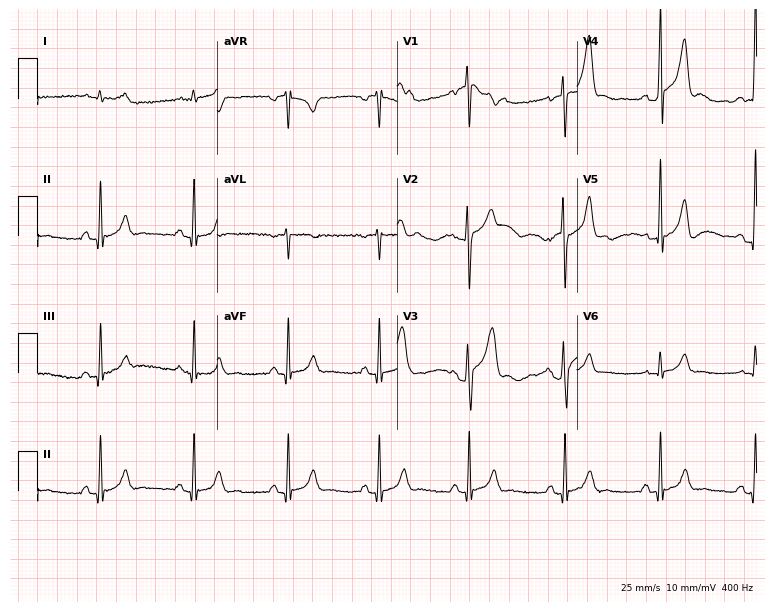
Electrocardiogram, a man, 36 years old. Of the six screened findings (first-degree AV block, right bundle branch block (RBBB), left bundle branch block (LBBB), sinus bradycardia, atrial fibrillation (AF), sinus tachycardia), none is recorded.